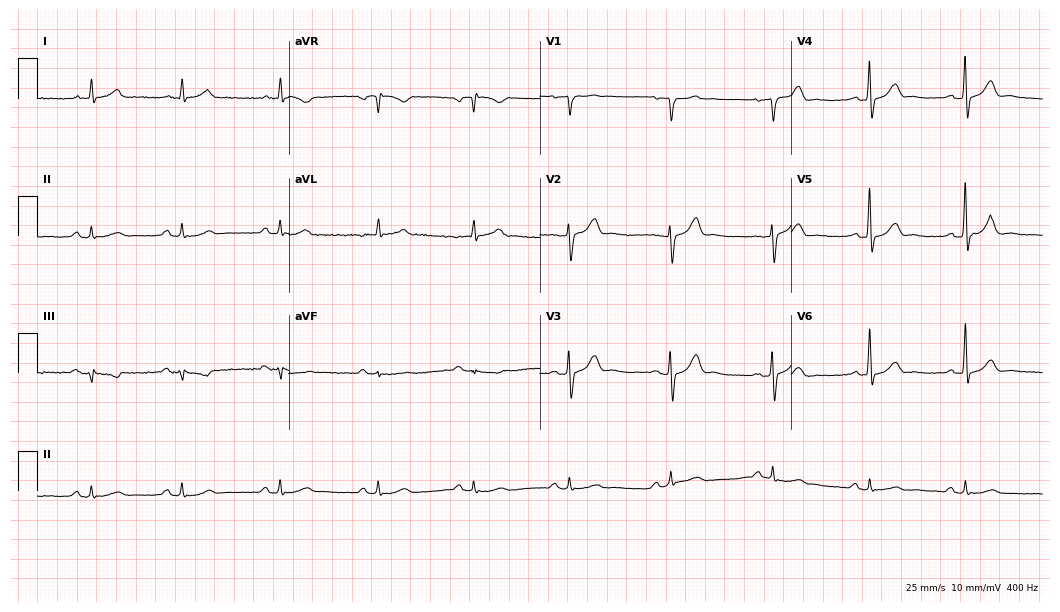
12-lead ECG from a 56-year-old man (10.2-second recording at 400 Hz). Recorded interpretation: within normal limits.